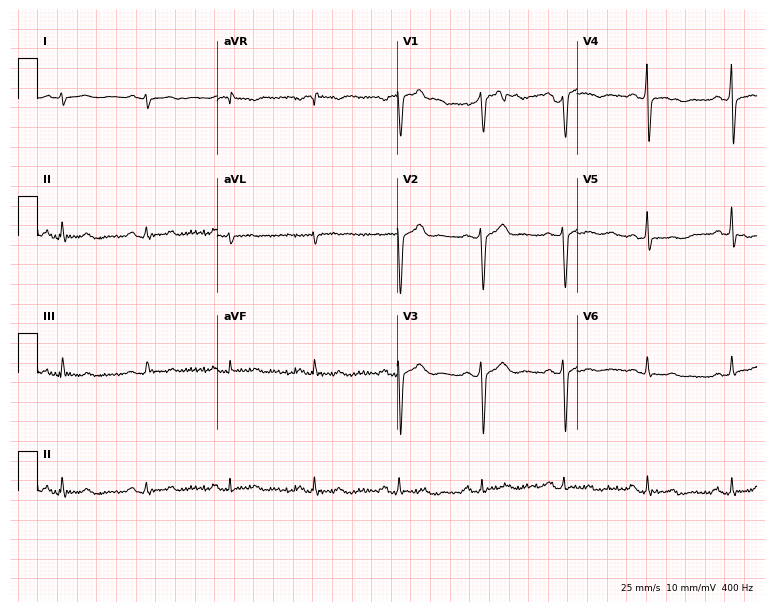
12-lead ECG (7.3-second recording at 400 Hz) from a man, 29 years old. Screened for six findings — first-degree AV block, right bundle branch block (RBBB), left bundle branch block (LBBB), sinus bradycardia, atrial fibrillation (AF), sinus tachycardia — none is recorded.